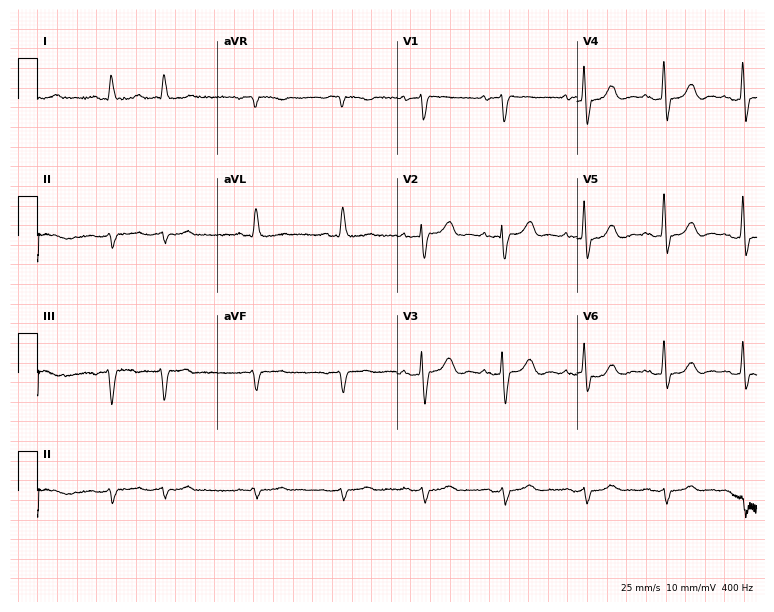
12-lead ECG from an 84-year-old man (7.3-second recording at 400 Hz). No first-degree AV block, right bundle branch block (RBBB), left bundle branch block (LBBB), sinus bradycardia, atrial fibrillation (AF) or sinus tachycardia recorded for this tracing.